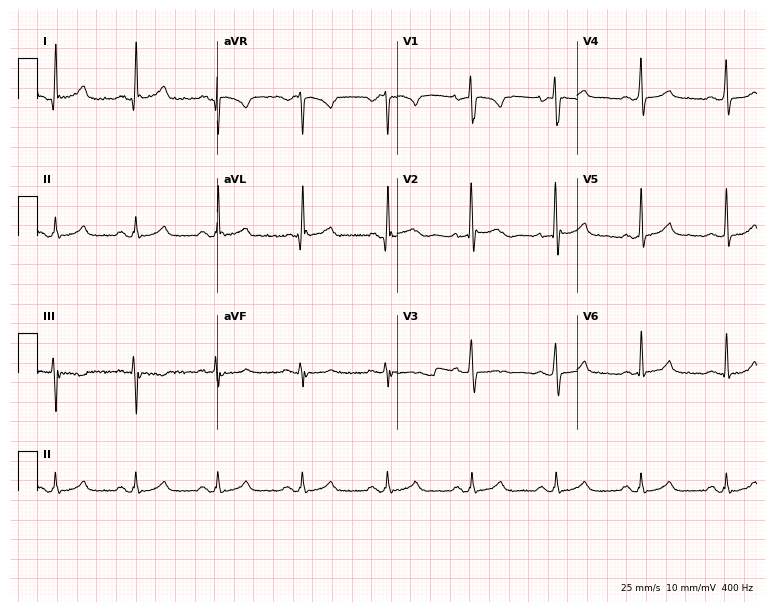
ECG — a male patient, 41 years old. Labelled as a normal ECG.